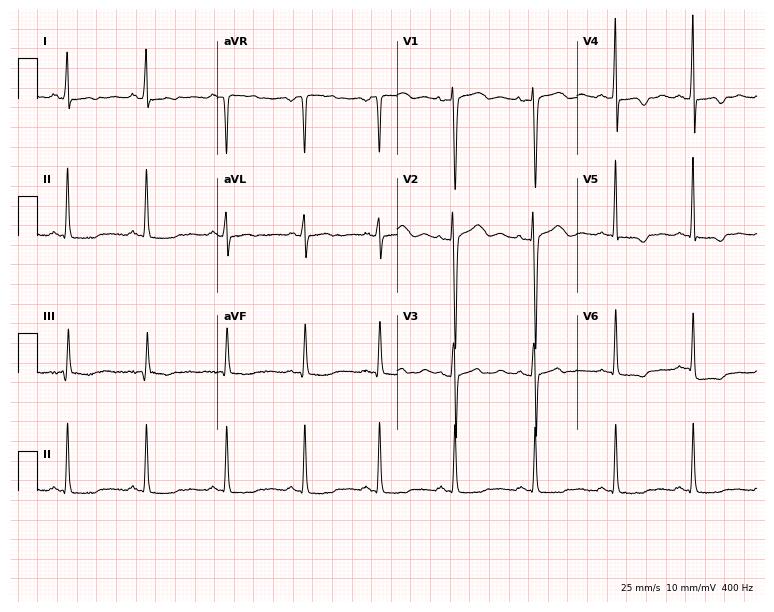
12-lead ECG from a female patient, 41 years old (7.3-second recording at 400 Hz). No first-degree AV block, right bundle branch block, left bundle branch block, sinus bradycardia, atrial fibrillation or sinus tachycardia recorded for this tracing.